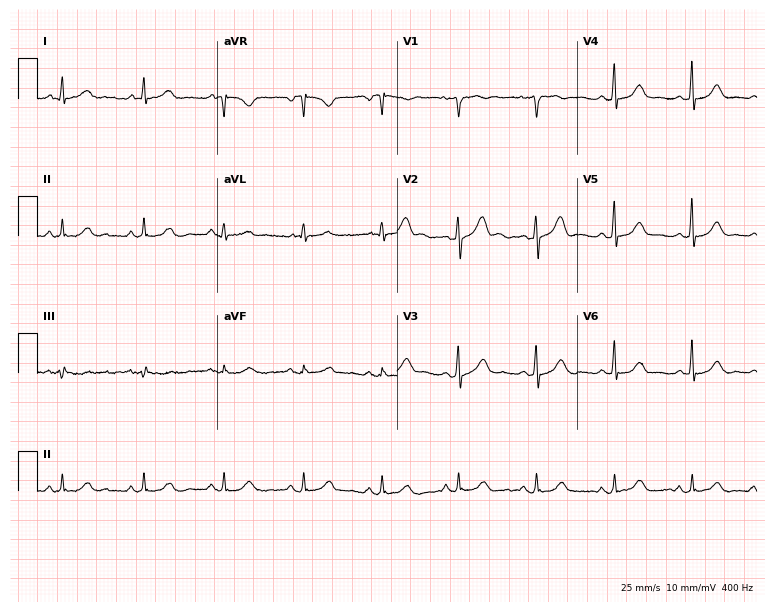
12-lead ECG (7.3-second recording at 400 Hz) from a 51-year-old female patient. Labelled as a normal ECG.